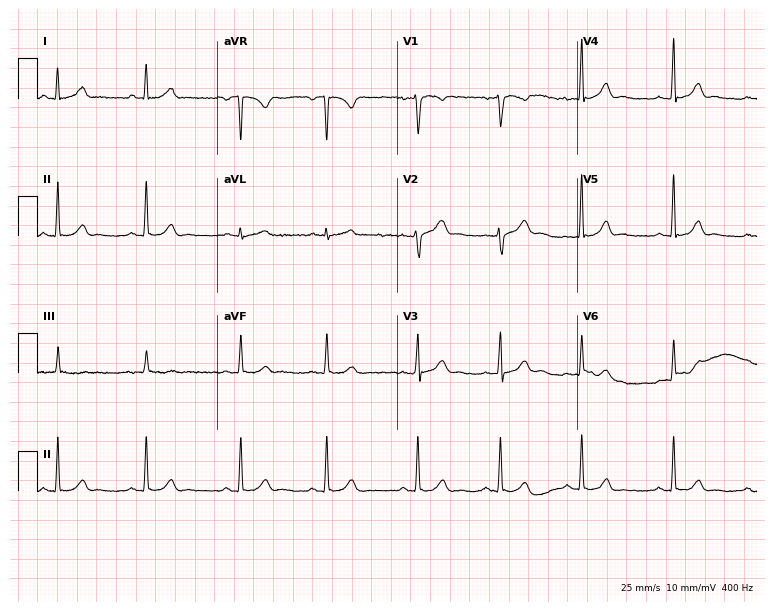
ECG — a woman, 25 years old. Labelled as a normal ECG.